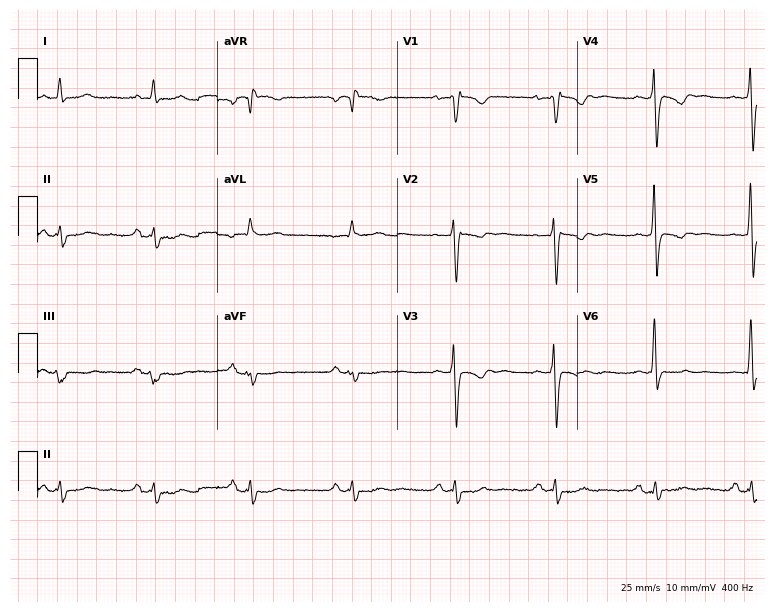
12-lead ECG (7.3-second recording at 400 Hz) from a female patient, 59 years old. Screened for six findings — first-degree AV block, right bundle branch block (RBBB), left bundle branch block (LBBB), sinus bradycardia, atrial fibrillation (AF), sinus tachycardia — none is recorded. Only these six findings were labelled.